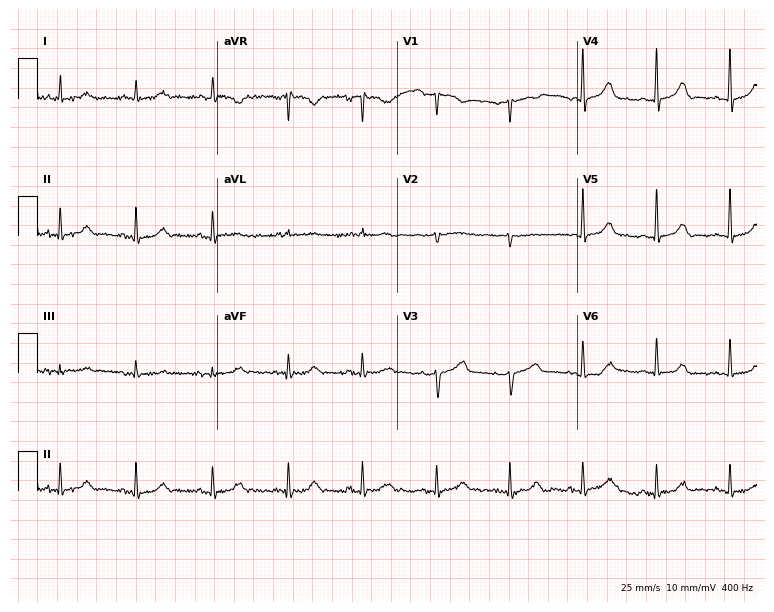
12-lead ECG from a female, 72 years old. No first-degree AV block, right bundle branch block, left bundle branch block, sinus bradycardia, atrial fibrillation or sinus tachycardia recorded for this tracing. Findings outside these six are not listed.